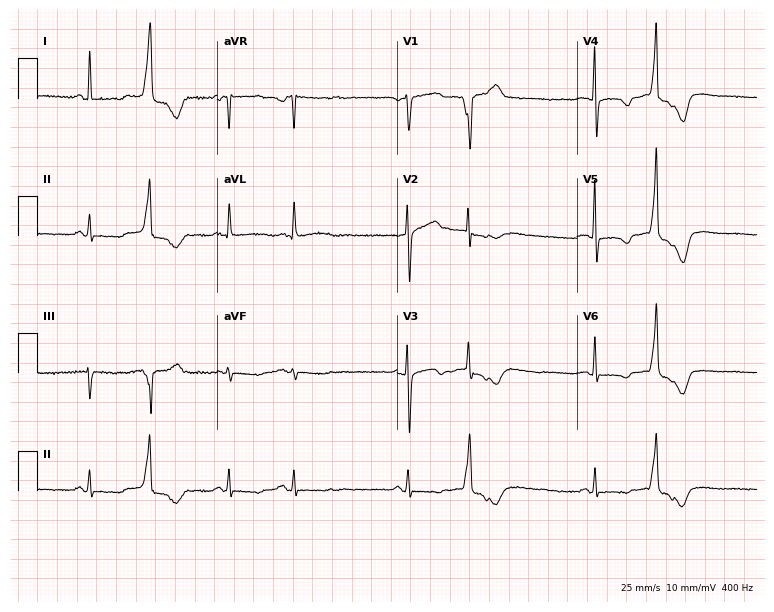
Resting 12-lead electrocardiogram. Patient: a female, 69 years old. None of these six findings is recorded: first-degree AV block, right bundle branch block, left bundle branch block, sinus bradycardia, atrial fibrillation, sinus tachycardia.